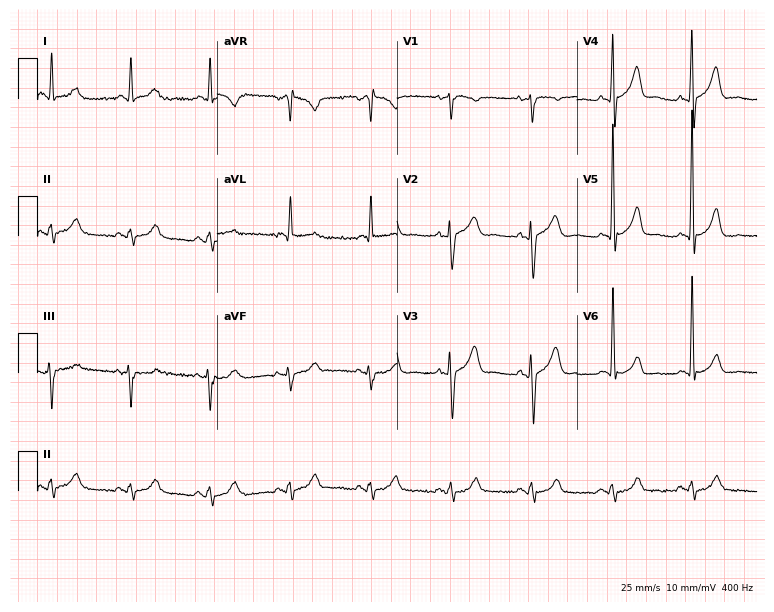
12-lead ECG from a male, 74 years old. No first-degree AV block, right bundle branch block, left bundle branch block, sinus bradycardia, atrial fibrillation or sinus tachycardia recorded for this tracing.